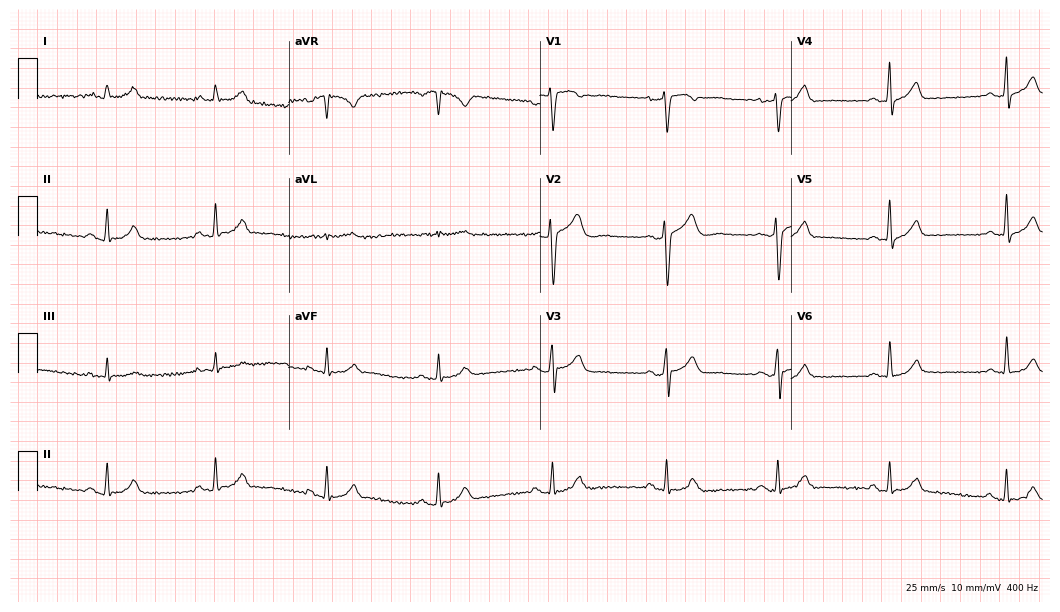
Resting 12-lead electrocardiogram. Patient: a 40-year-old male. None of these six findings is recorded: first-degree AV block, right bundle branch block, left bundle branch block, sinus bradycardia, atrial fibrillation, sinus tachycardia.